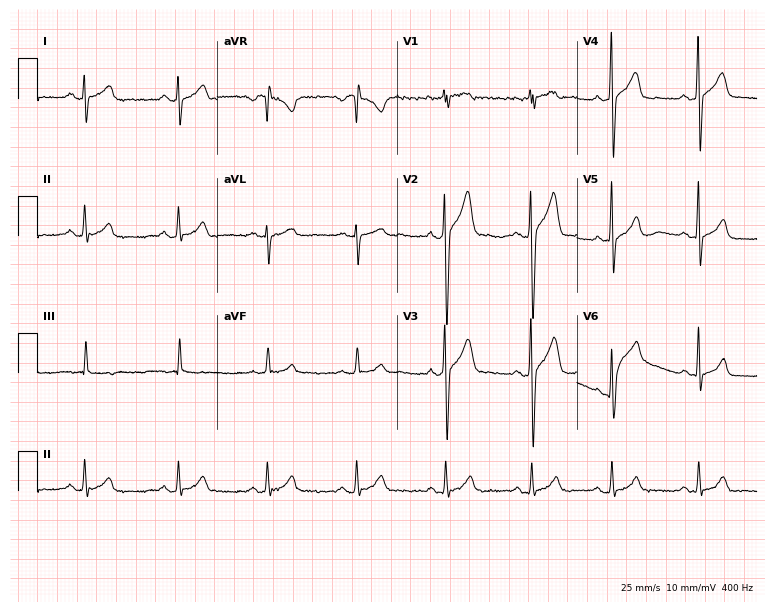
12-lead ECG from a 22-year-old male. Screened for six findings — first-degree AV block, right bundle branch block, left bundle branch block, sinus bradycardia, atrial fibrillation, sinus tachycardia — none is recorded.